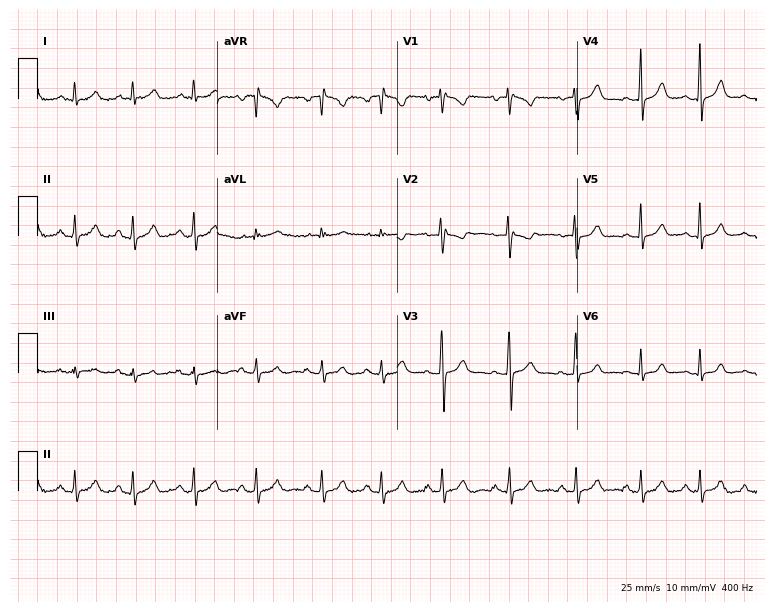
12-lead ECG from a 17-year-old female (7.3-second recording at 400 Hz). No first-degree AV block, right bundle branch block, left bundle branch block, sinus bradycardia, atrial fibrillation or sinus tachycardia recorded for this tracing.